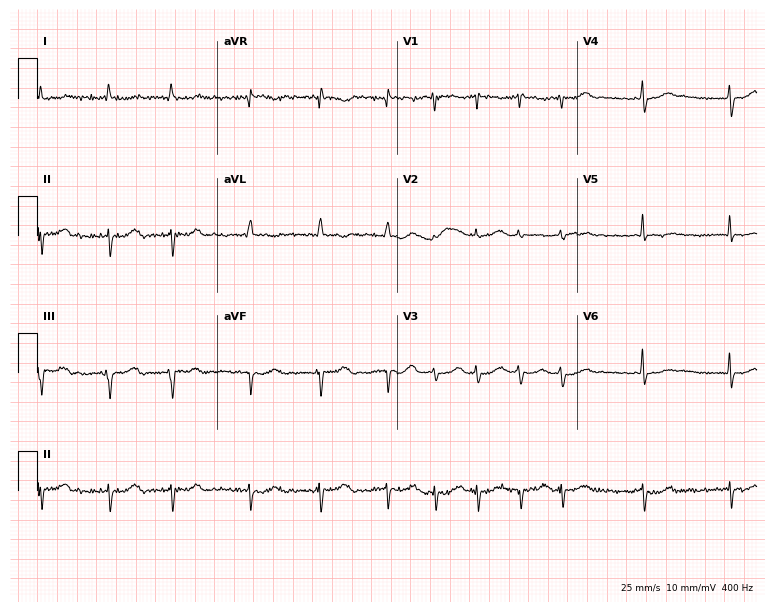
Resting 12-lead electrocardiogram. Patient: a female, 77 years old. The tracing shows atrial fibrillation.